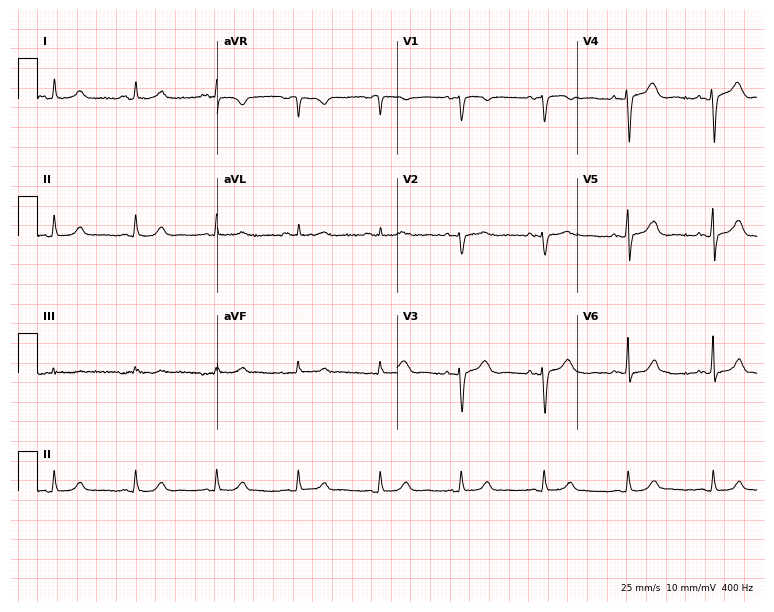
12-lead ECG from a 37-year-old woman (7.3-second recording at 400 Hz). Recorded interpretation: within normal limits.